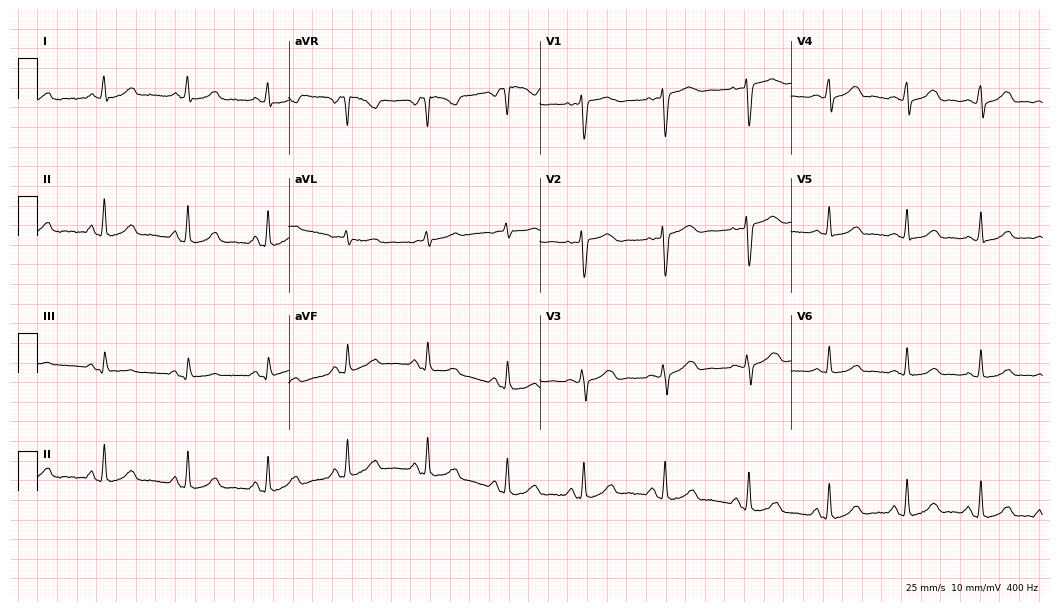
ECG — a 44-year-old female. Labelled as a normal ECG.